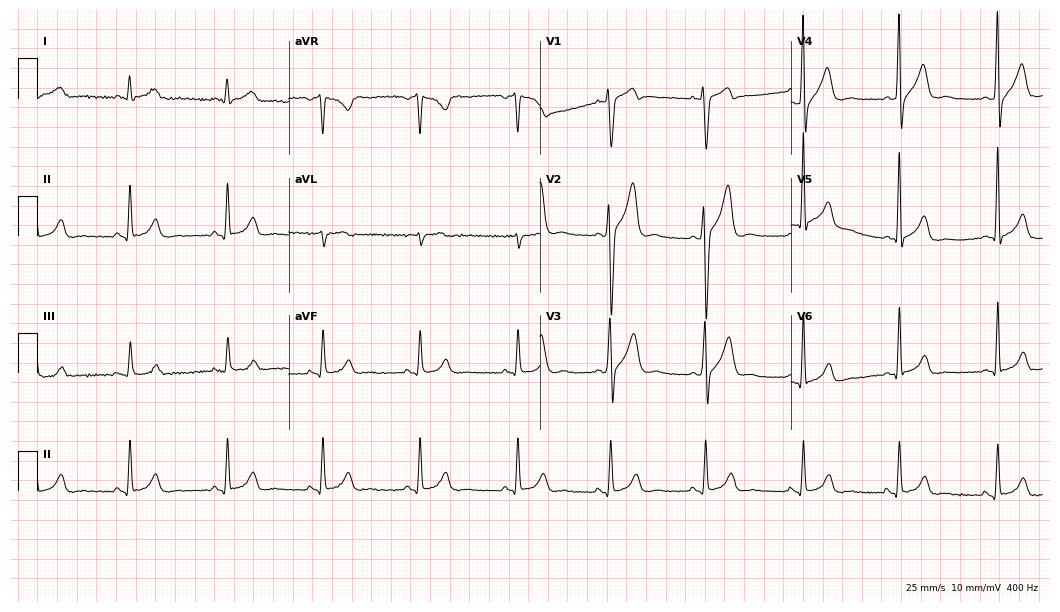
Resting 12-lead electrocardiogram. Patient: a 26-year-old man. Read as a normal ECG.